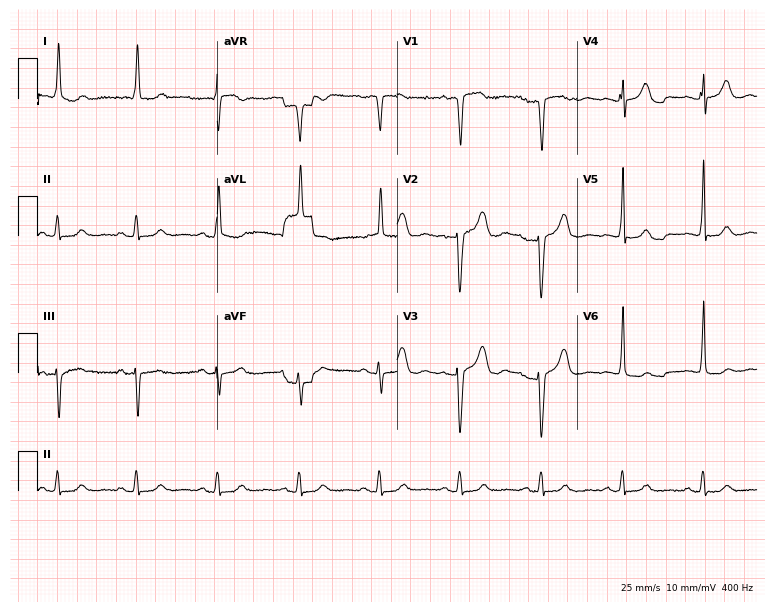
Electrocardiogram, a male, 83 years old. Overall reading on record: normal ECG.